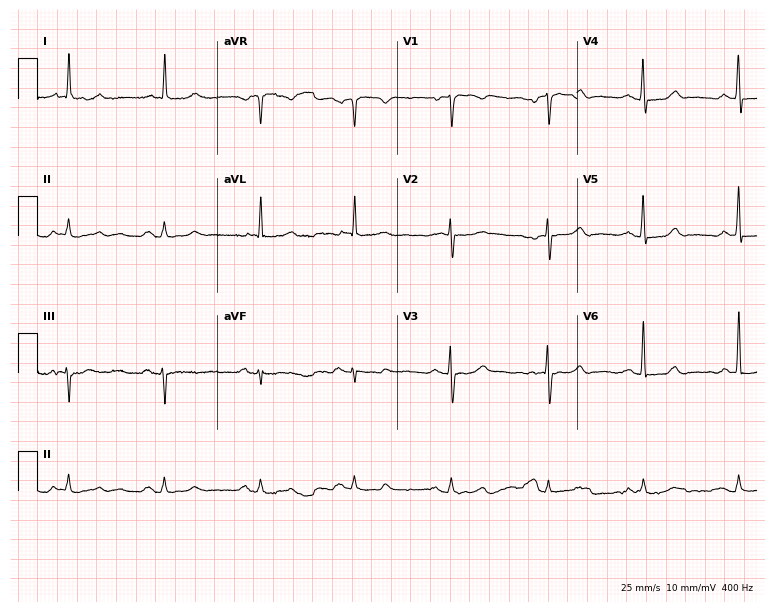
12-lead ECG from a 69-year-old female patient (7.3-second recording at 400 Hz). Recorded interpretation: within normal limits.